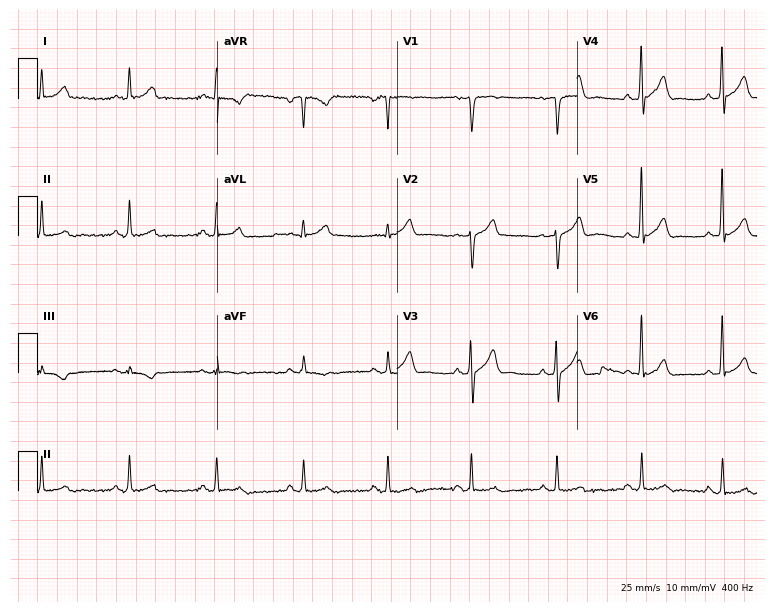
Resting 12-lead electrocardiogram. Patient: a man, 58 years old. None of these six findings is recorded: first-degree AV block, right bundle branch block, left bundle branch block, sinus bradycardia, atrial fibrillation, sinus tachycardia.